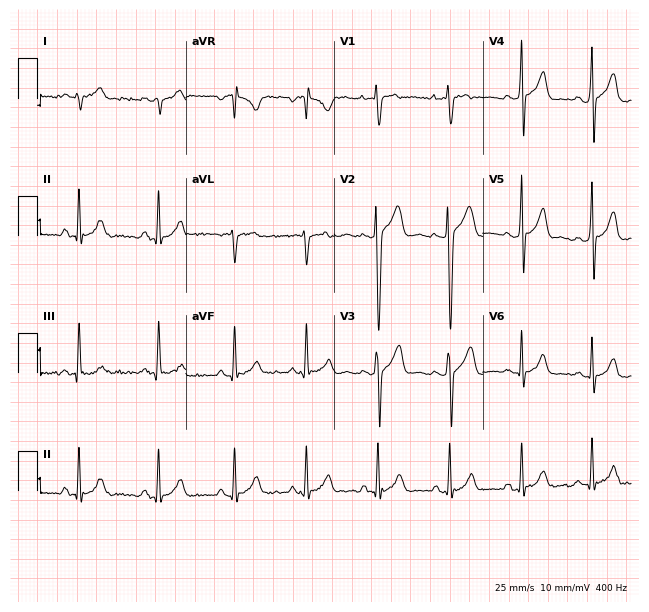
Resting 12-lead electrocardiogram (6.1-second recording at 400 Hz). Patient: a 22-year-old man. None of these six findings is recorded: first-degree AV block, right bundle branch block, left bundle branch block, sinus bradycardia, atrial fibrillation, sinus tachycardia.